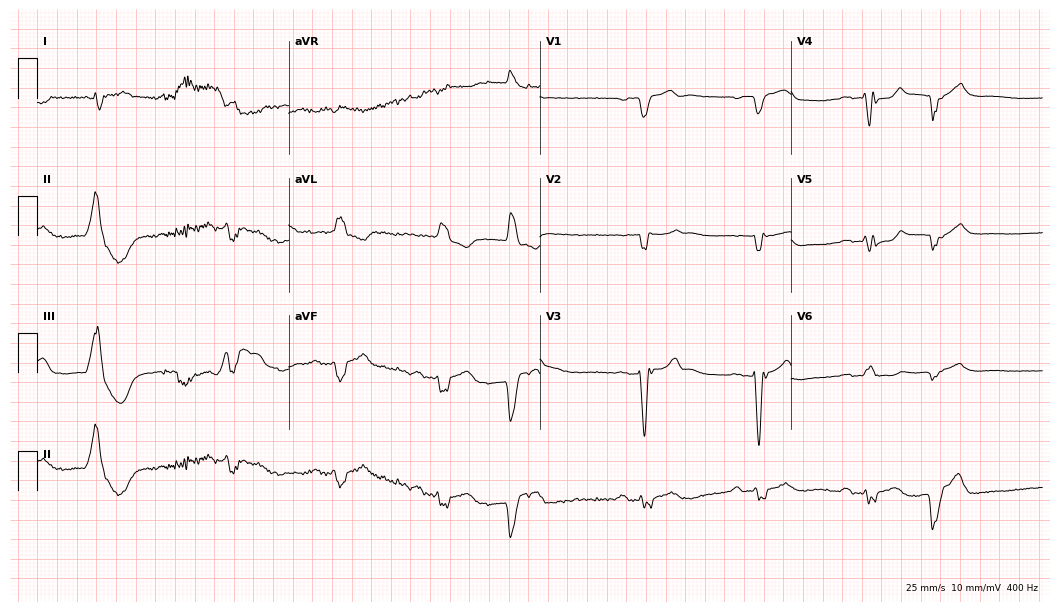
ECG (10.2-second recording at 400 Hz) — a man, 75 years old. Screened for six findings — first-degree AV block, right bundle branch block, left bundle branch block, sinus bradycardia, atrial fibrillation, sinus tachycardia — none is recorded. Only these six findings were labelled.